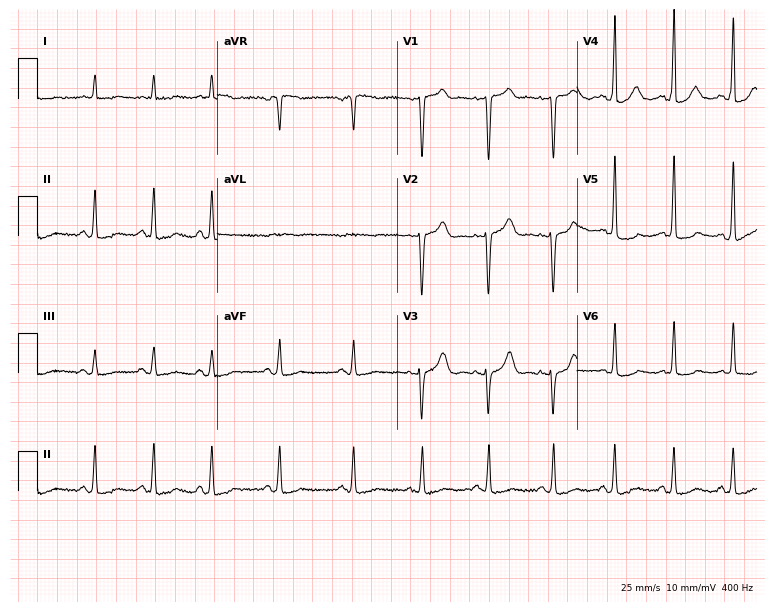
ECG (7.3-second recording at 400 Hz) — a female patient, 62 years old. Screened for six findings — first-degree AV block, right bundle branch block, left bundle branch block, sinus bradycardia, atrial fibrillation, sinus tachycardia — none is recorded. Findings outside these six are not listed.